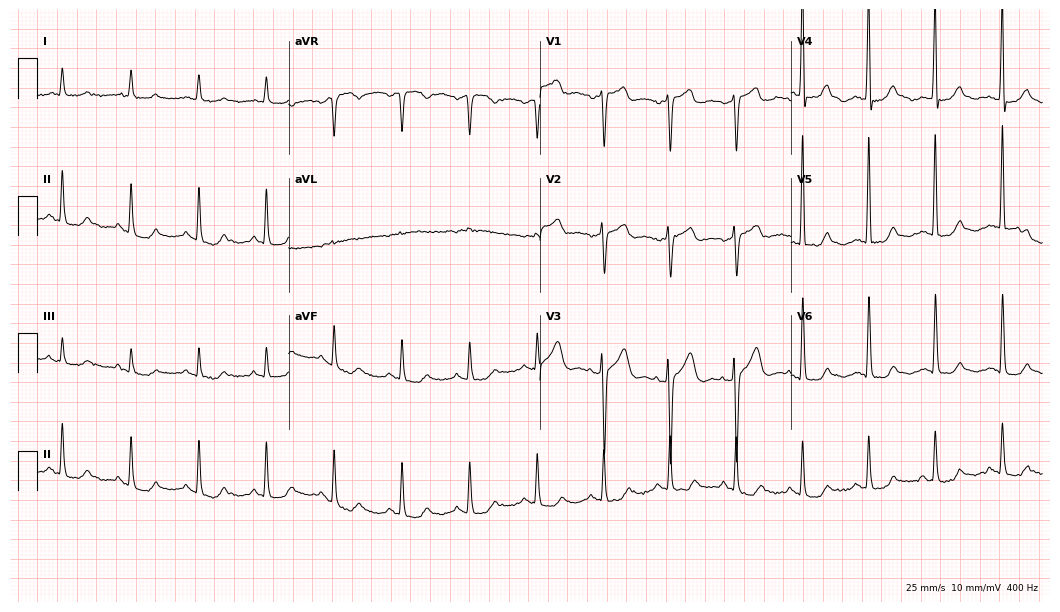
Standard 12-lead ECG recorded from an 84-year-old male. None of these six findings is recorded: first-degree AV block, right bundle branch block, left bundle branch block, sinus bradycardia, atrial fibrillation, sinus tachycardia.